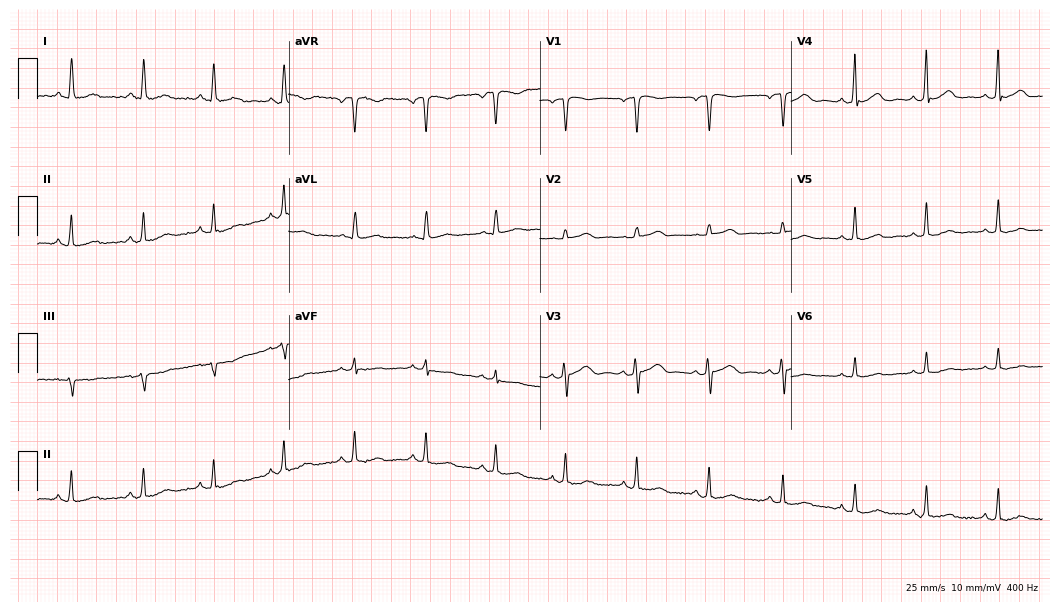
Resting 12-lead electrocardiogram (10.2-second recording at 400 Hz). Patient: a 49-year-old female. None of these six findings is recorded: first-degree AV block, right bundle branch block, left bundle branch block, sinus bradycardia, atrial fibrillation, sinus tachycardia.